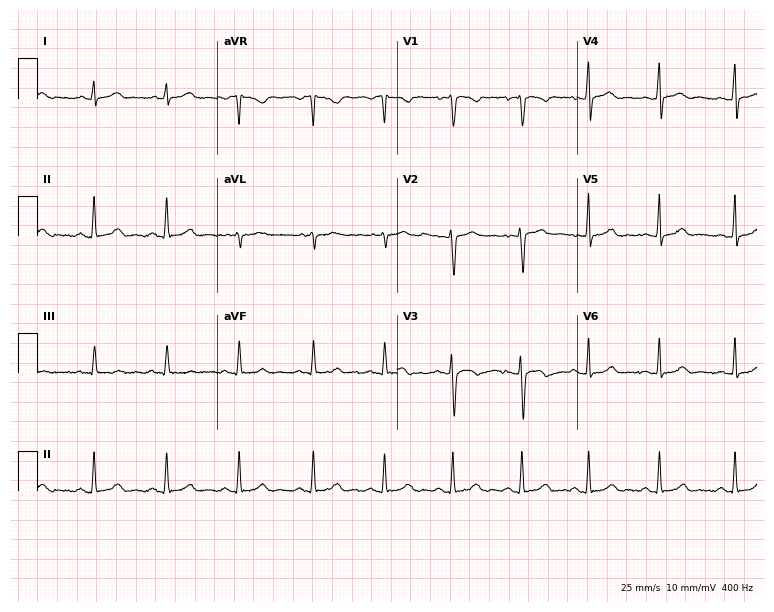
12-lead ECG from a 17-year-old female patient. Labelled as a normal ECG.